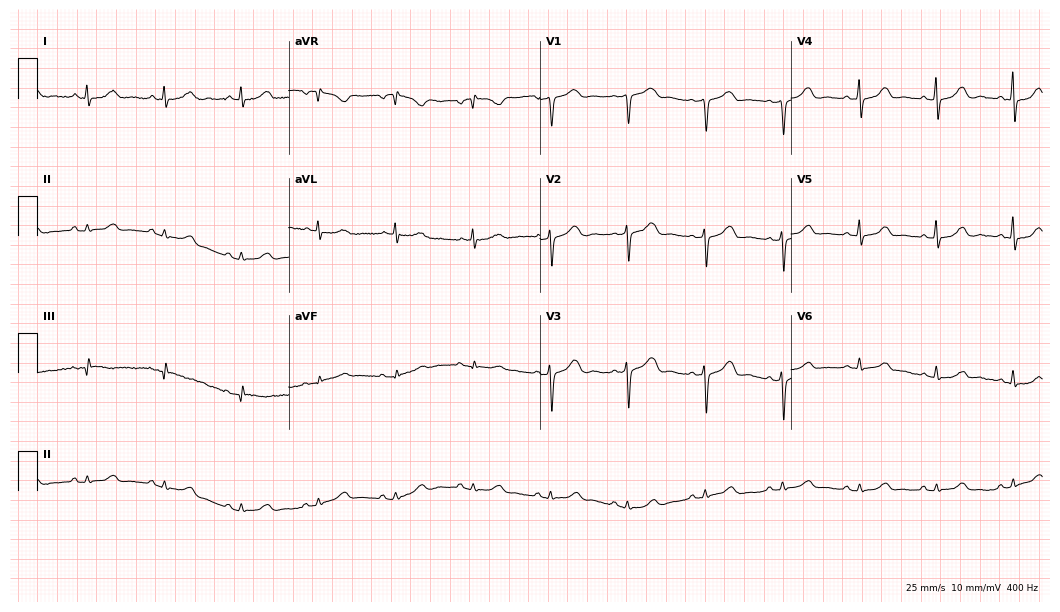
12-lead ECG from a female, 78 years old (10.2-second recording at 400 Hz). Recorded interpretation: within normal limits.